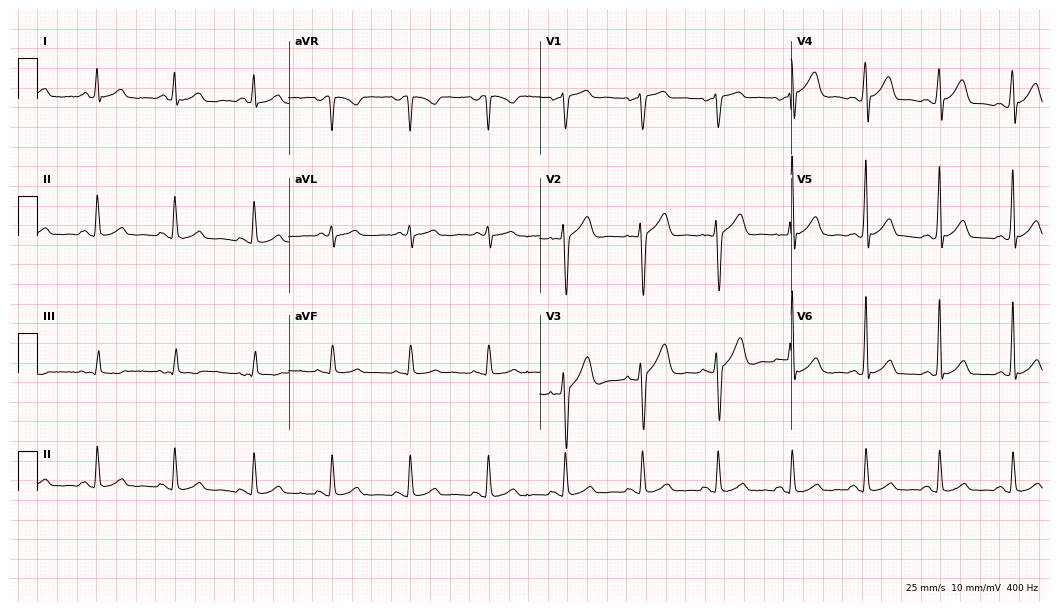
Electrocardiogram (10.2-second recording at 400 Hz), a 49-year-old male. Of the six screened findings (first-degree AV block, right bundle branch block, left bundle branch block, sinus bradycardia, atrial fibrillation, sinus tachycardia), none is recorded. Findings outside these six are not listed.